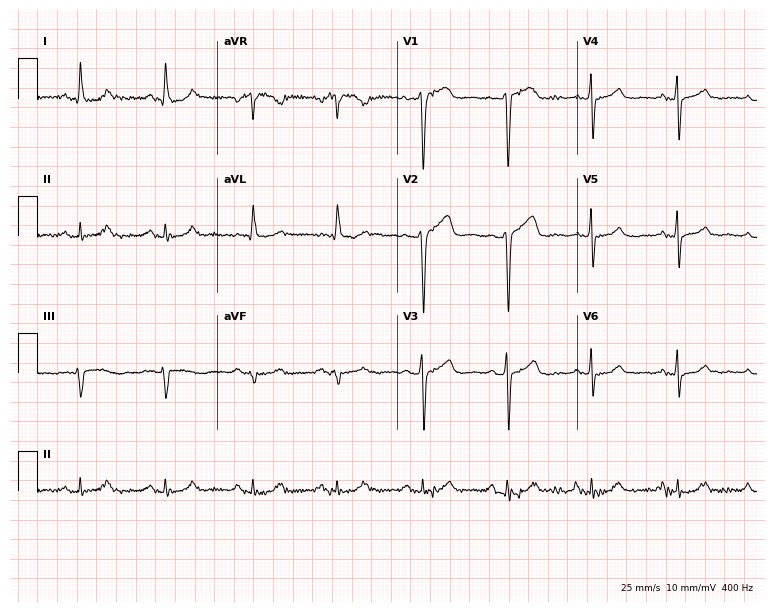
12-lead ECG from a female patient, 71 years old. Labelled as a normal ECG.